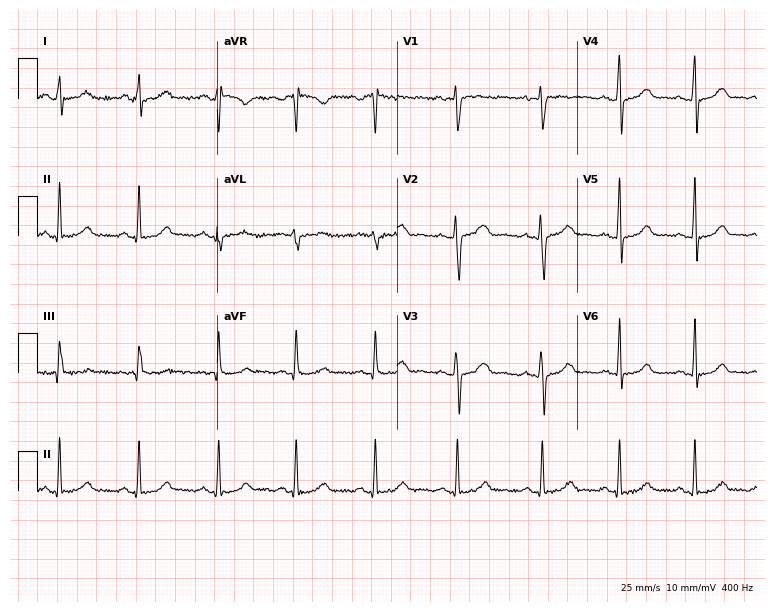
Standard 12-lead ECG recorded from a 20-year-old female patient. None of these six findings is recorded: first-degree AV block, right bundle branch block, left bundle branch block, sinus bradycardia, atrial fibrillation, sinus tachycardia.